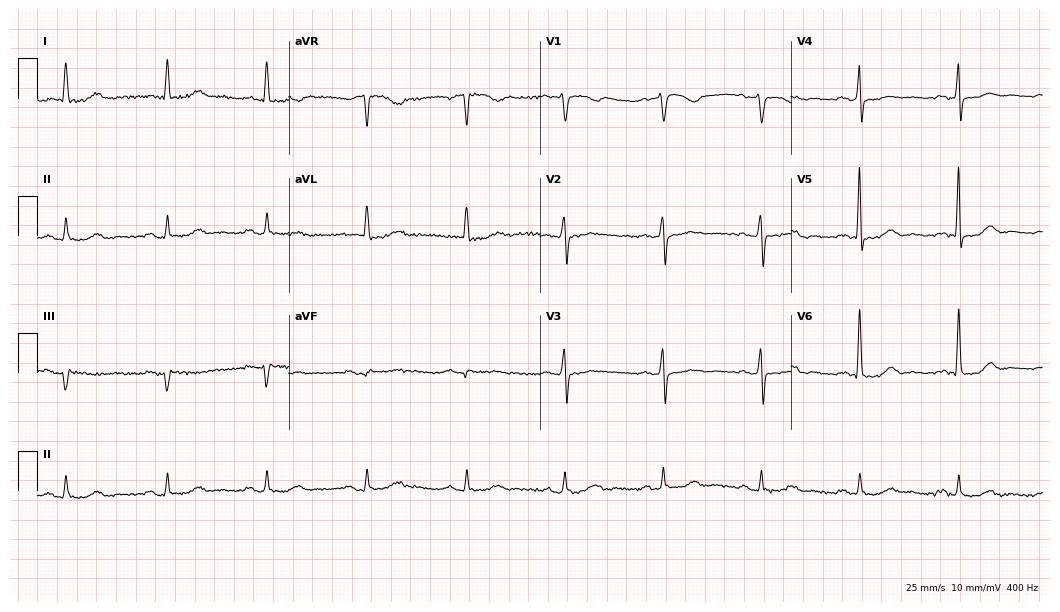
ECG — a female, 64 years old. Labelled as a normal ECG.